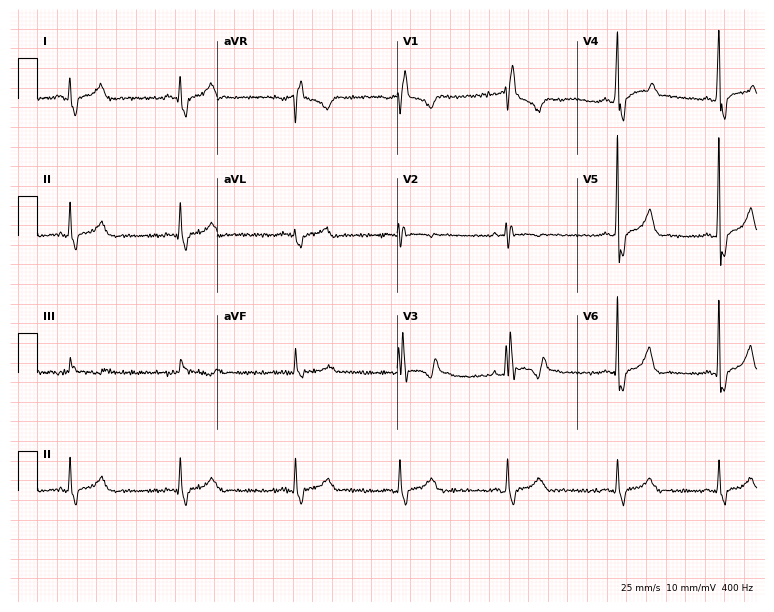
12-lead ECG from a male patient, 34 years old (7.3-second recording at 400 Hz). Shows right bundle branch block (RBBB).